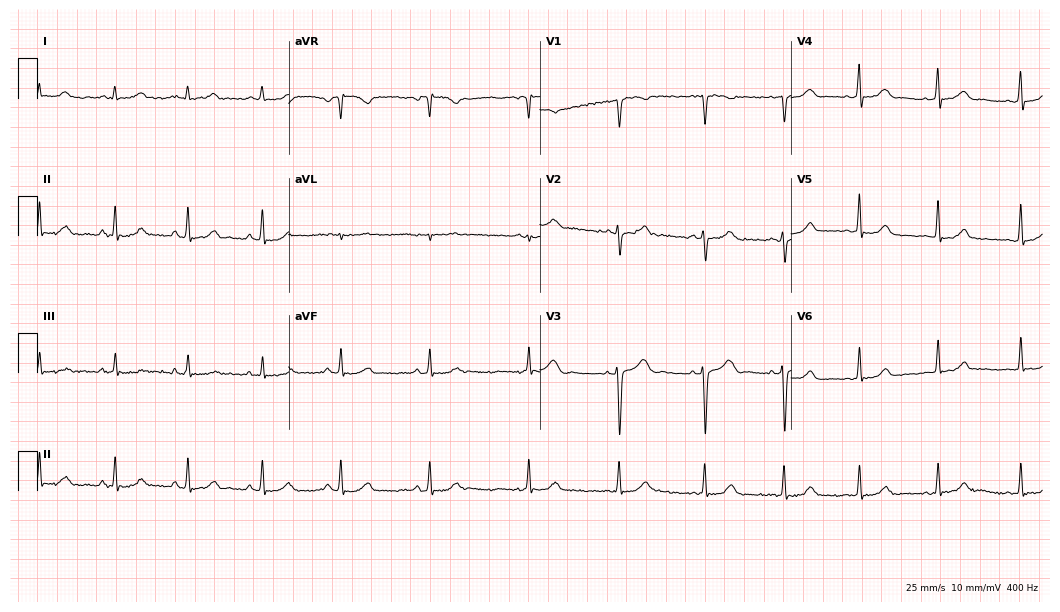
Standard 12-lead ECG recorded from a female, 28 years old (10.2-second recording at 400 Hz). Read as a normal ECG.